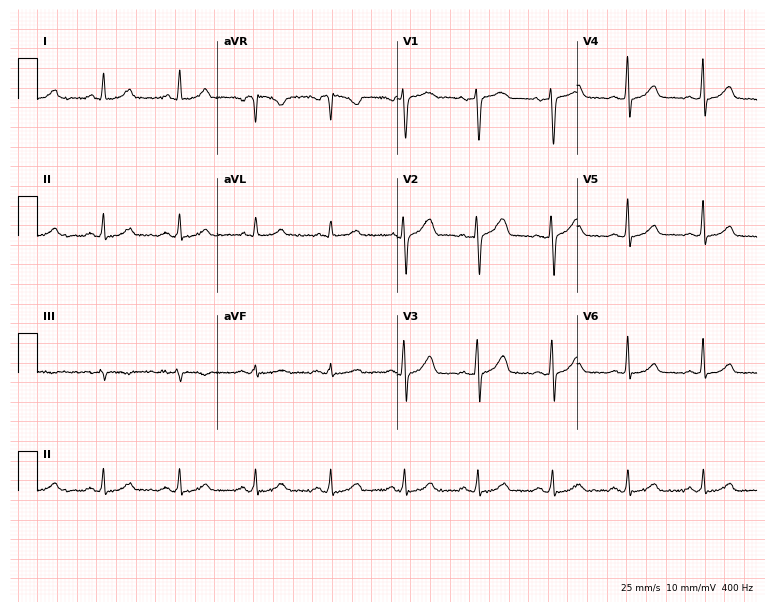
12-lead ECG (7.3-second recording at 400 Hz) from a 52-year-old woman. Labelled as a normal ECG.